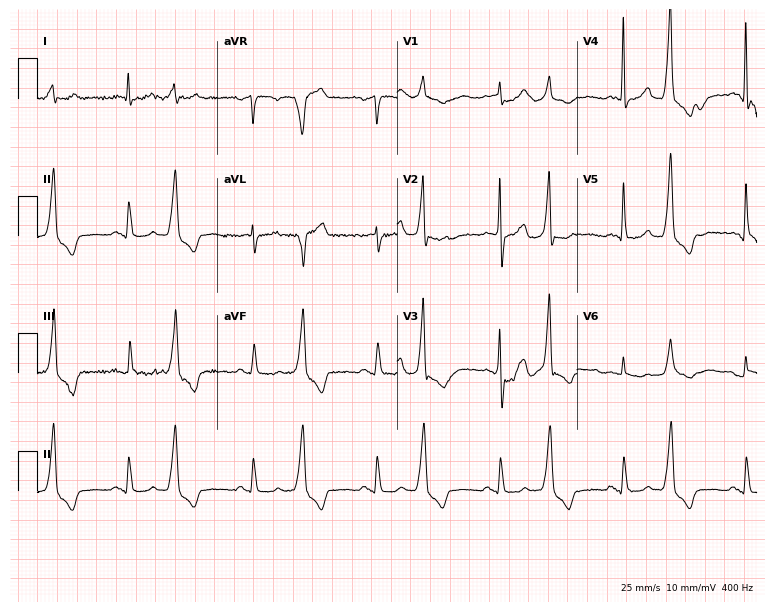
Electrocardiogram (7.3-second recording at 400 Hz), an 82-year-old man. Of the six screened findings (first-degree AV block, right bundle branch block (RBBB), left bundle branch block (LBBB), sinus bradycardia, atrial fibrillation (AF), sinus tachycardia), none is recorded.